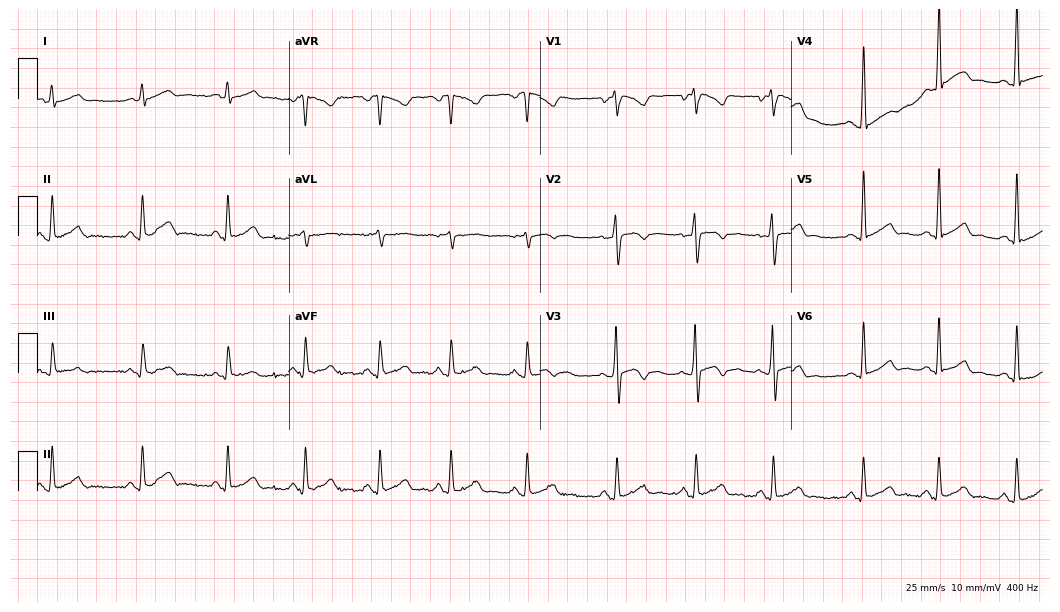
12-lead ECG (10.2-second recording at 400 Hz) from a 28-year-old man. Labelled as a normal ECG.